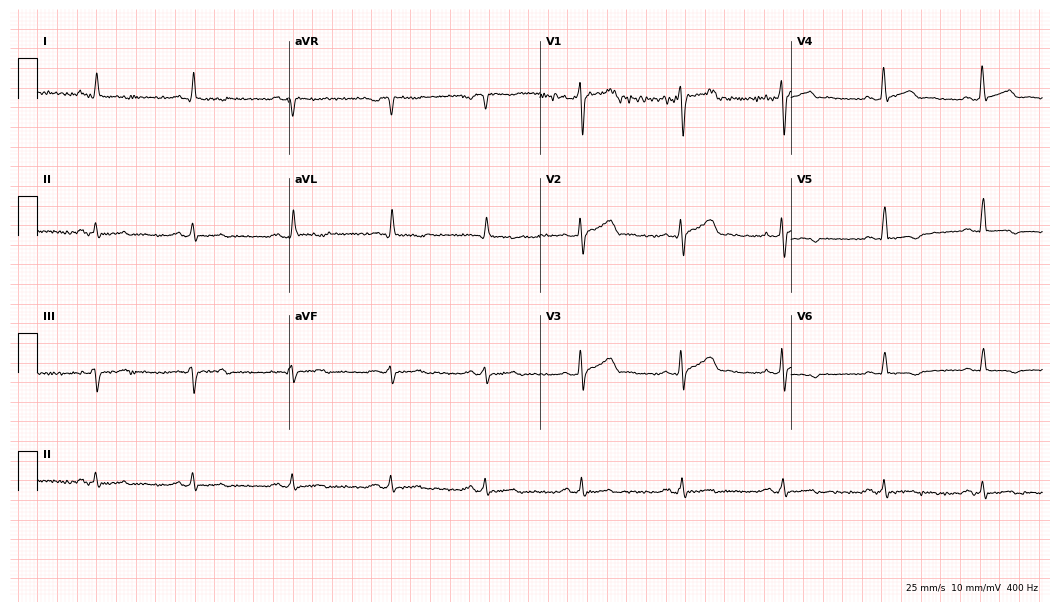
12-lead ECG from a 53-year-old male. Recorded interpretation: within normal limits.